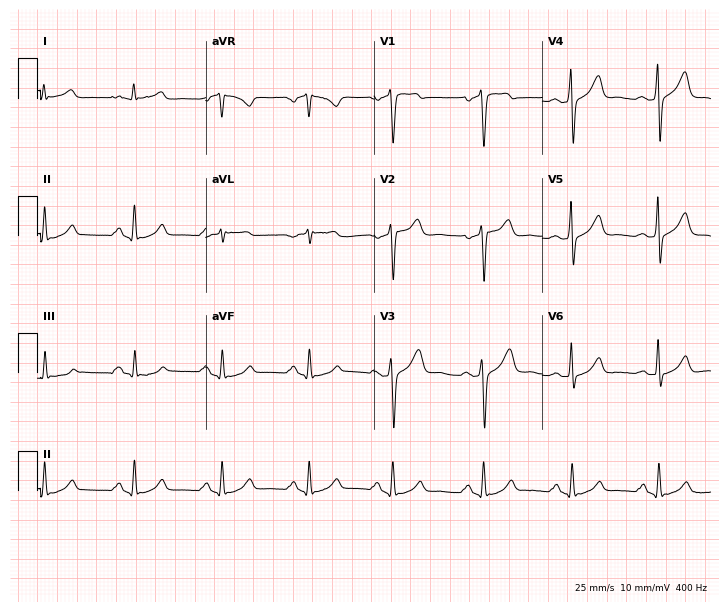
Standard 12-lead ECG recorded from a male, 35 years old (6.9-second recording at 400 Hz). None of these six findings is recorded: first-degree AV block, right bundle branch block (RBBB), left bundle branch block (LBBB), sinus bradycardia, atrial fibrillation (AF), sinus tachycardia.